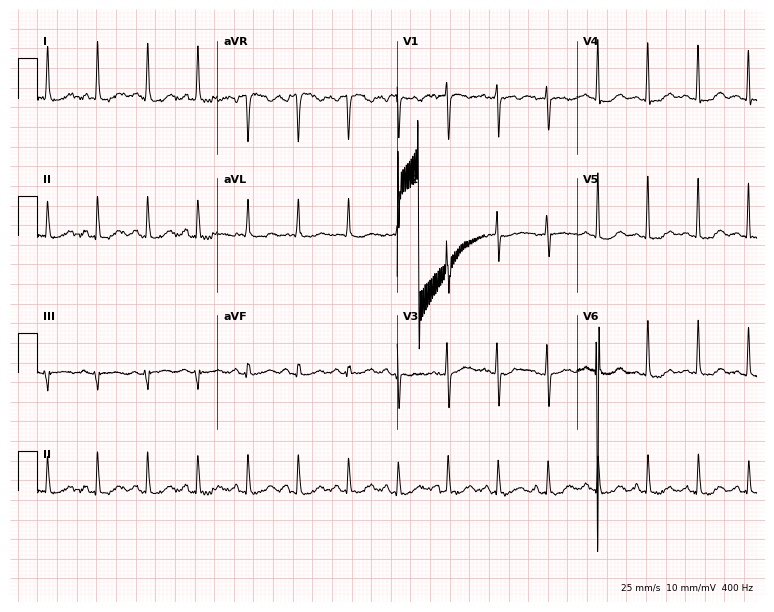
12-lead ECG from a 58-year-old woman. Findings include sinus tachycardia (a sinus rate of 100 beats per minute or more).